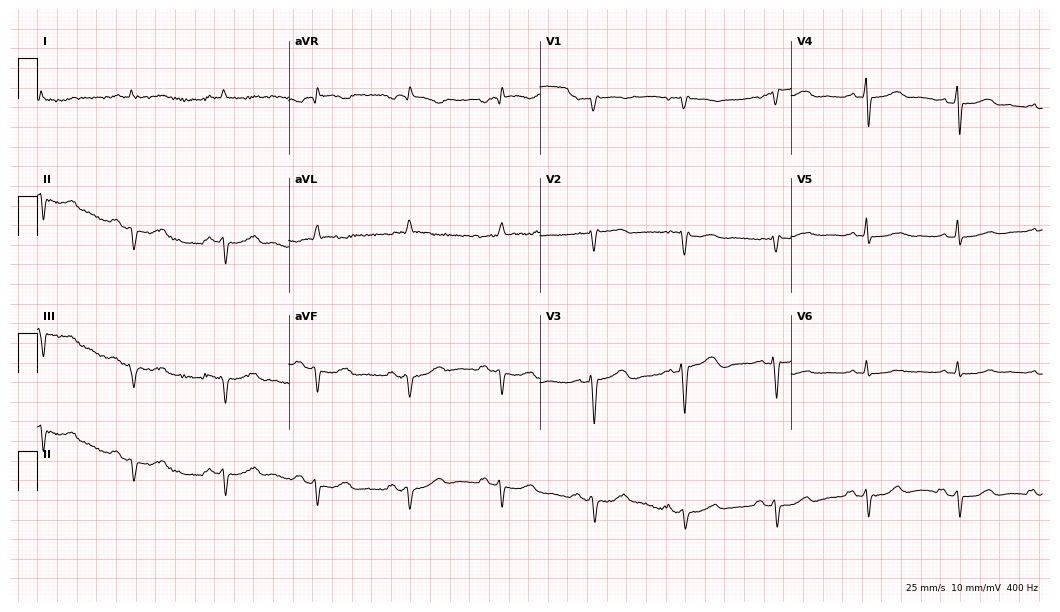
ECG — a male patient, 84 years old. Screened for six findings — first-degree AV block, right bundle branch block, left bundle branch block, sinus bradycardia, atrial fibrillation, sinus tachycardia — none is recorded. Other findings, if any, are not listed.